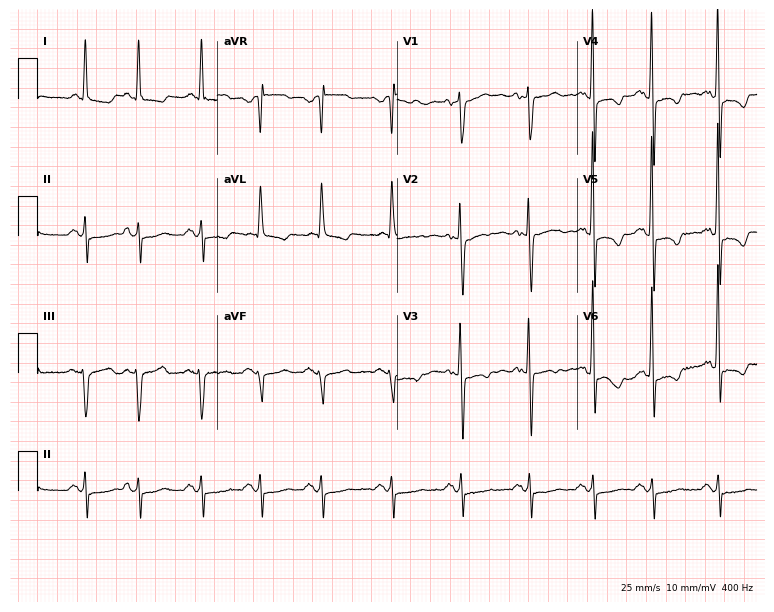
Resting 12-lead electrocardiogram (7.3-second recording at 400 Hz). Patient: a male, 79 years old. None of these six findings is recorded: first-degree AV block, right bundle branch block, left bundle branch block, sinus bradycardia, atrial fibrillation, sinus tachycardia.